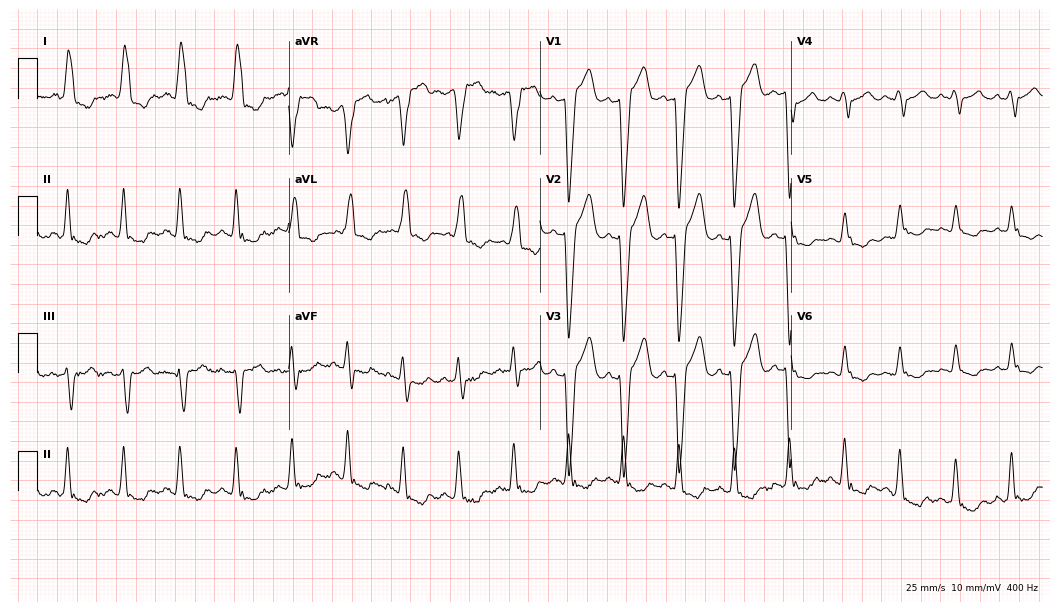
ECG — a 45-year-old female patient. Findings include left bundle branch block, sinus tachycardia (a sinus rate of 100 beats per minute or more).